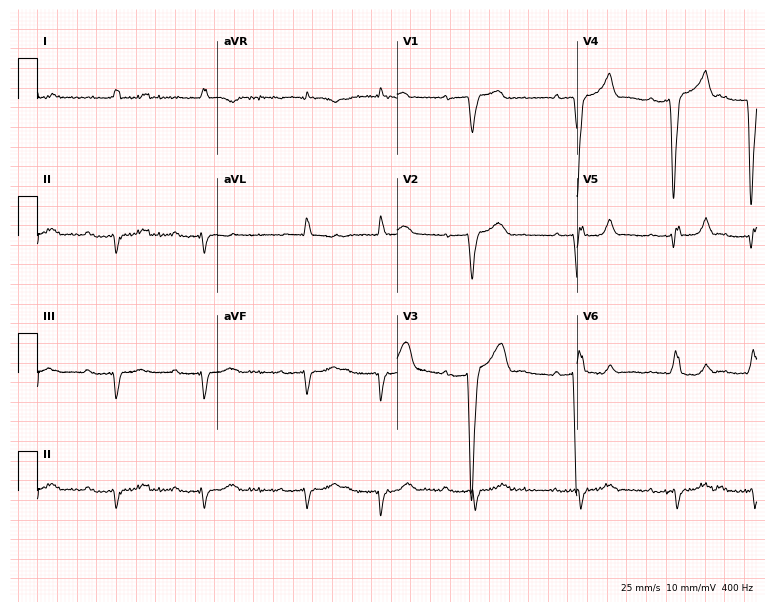
12-lead ECG from a 75-year-old male. Shows first-degree AV block, left bundle branch block.